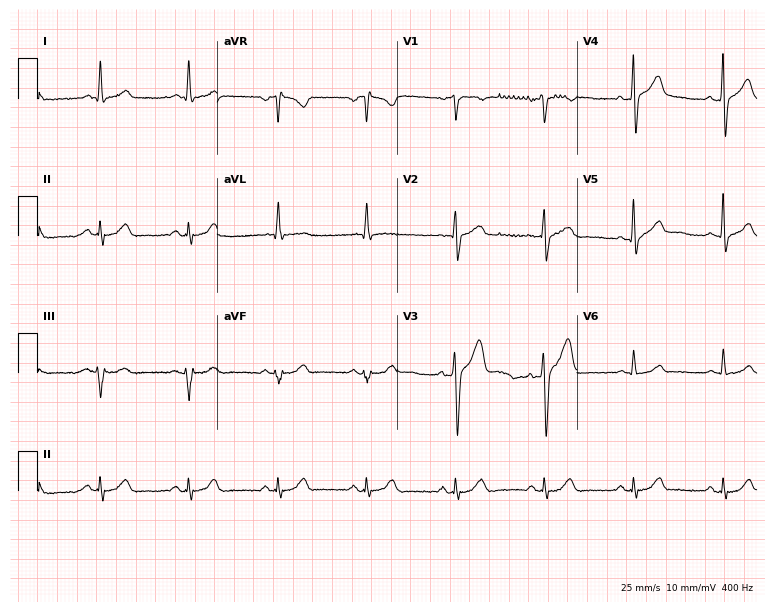
Resting 12-lead electrocardiogram. Patient: a 74-year-old male. Read as a normal ECG.